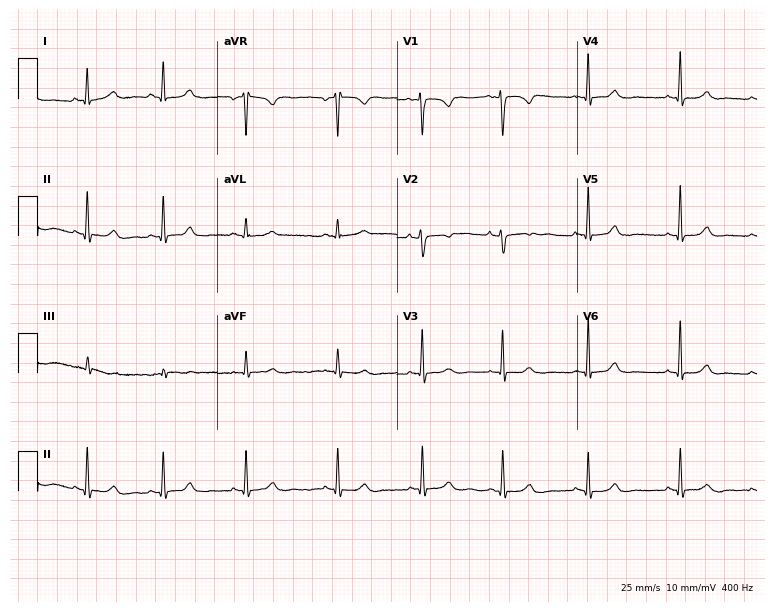
Electrocardiogram, a 23-year-old female. Of the six screened findings (first-degree AV block, right bundle branch block, left bundle branch block, sinus bradycardia, atrial fibrillation, sinus tachycardia), none is recorded. Other findings, if any, are not listed.